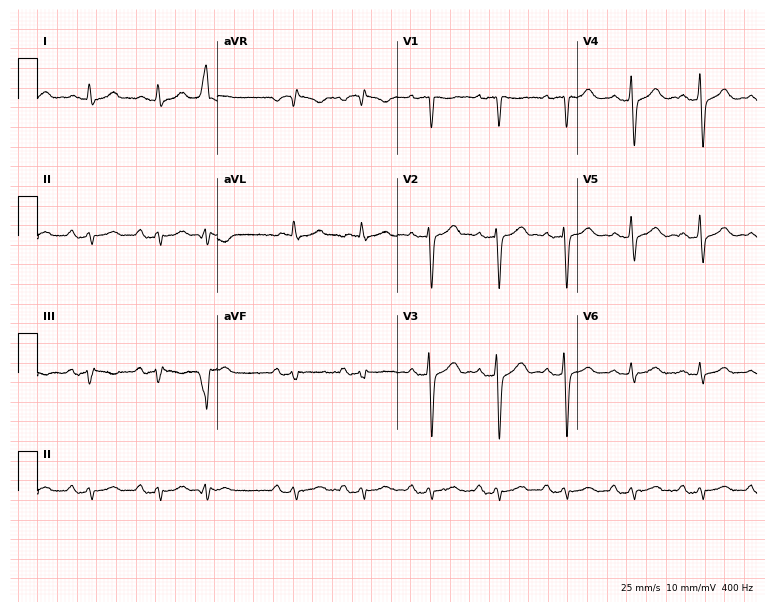
12-lead ECG from an 81-year-old male patient. No first-degree AV block, right bundle branch block, left bundle branch block, sinus bradycardia, atrial fibrillation or sinus tachycardia recorded for this tracing.